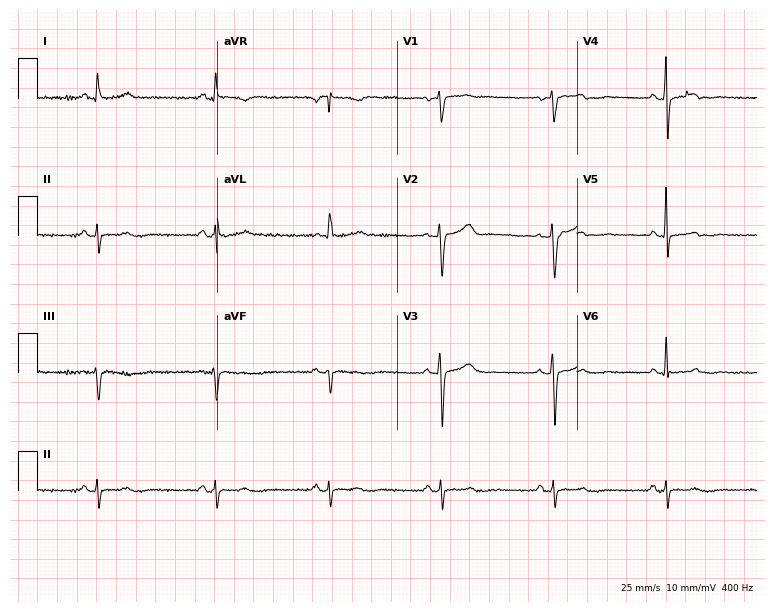
Resting 12-lead electrocardiogram. Patient: a 49-year-old woman. None of these six findings is recorded: first-degree AV block, right bundle branch block (RBBB), left bundle branch block (LBBB), sinus bradycardia, atrial fibrillation (AF), sinus tachycardia. Findings outside these six are not listed.